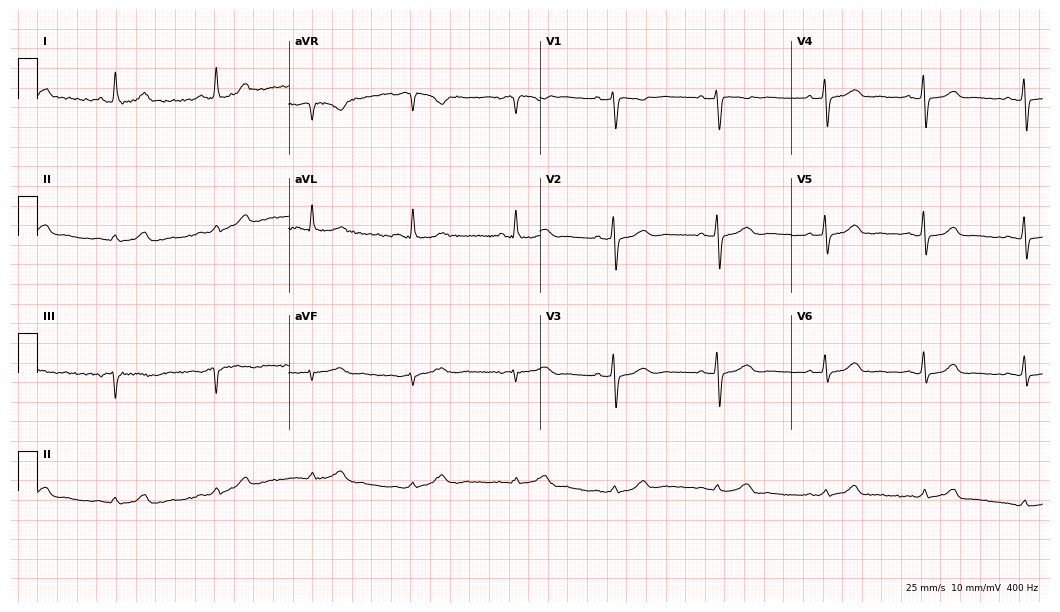
ECG (10.2-second recording at 400 Hz) — a 67-year-old woman. Labelled as a normal ECG.